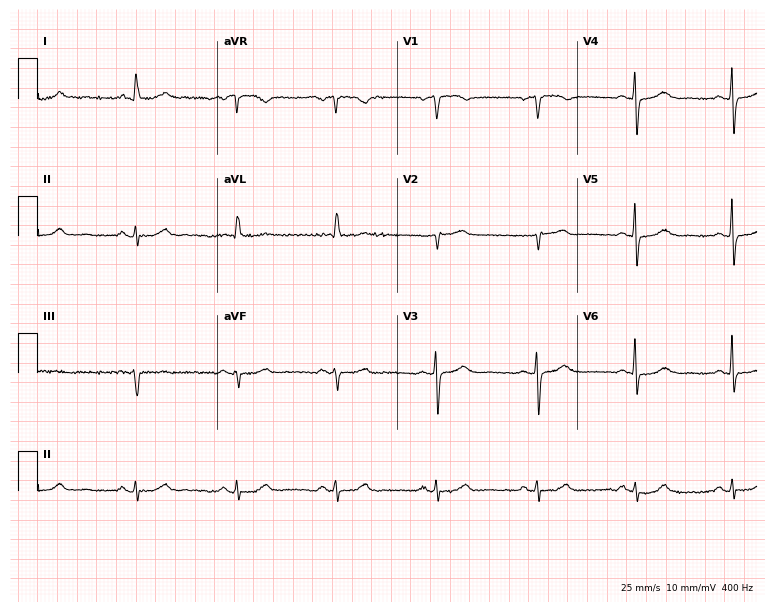
ECG — an 80-year-old female patient. Screened for six findings — first-degree AV block, right bundle branch block (RBBB), left bundle branch block (LBBB), sinus bradycardia, atrial fibrillation (AF), sinus tachycardia — none is recorded. Findings outside these six are not listed.